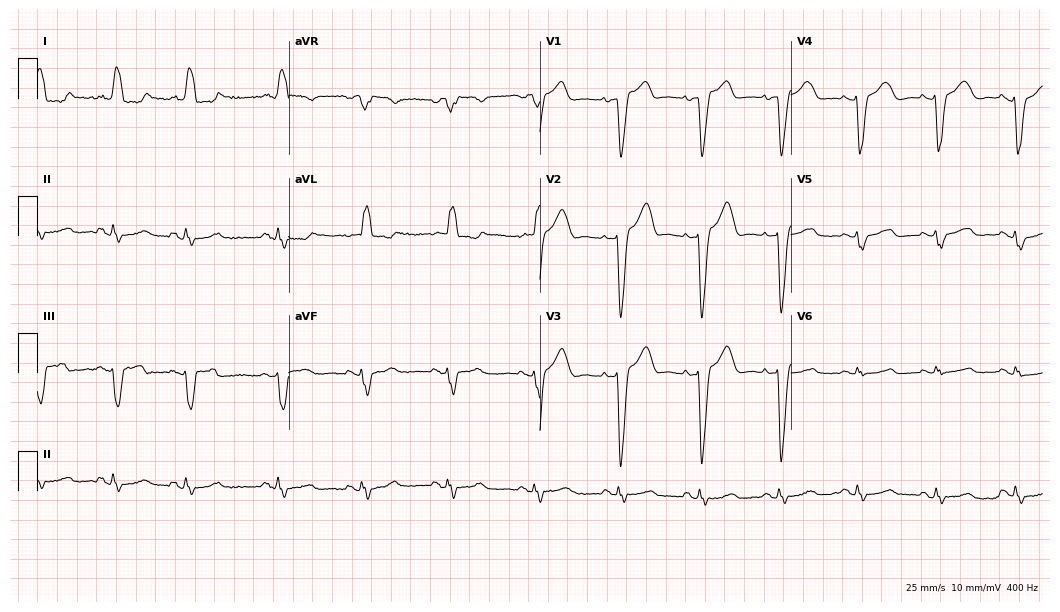
ECG — a female patient, 67 years old. Findings include left bundle branch block.